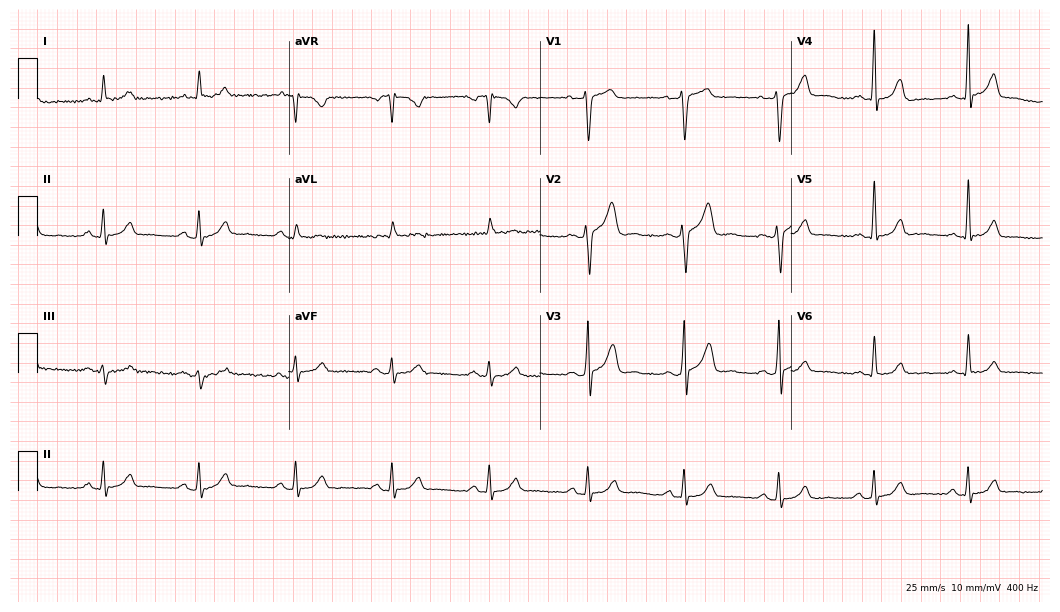
Standard 12-lead ECG recorded from a 53-year-old man. Read as a normal ECG.